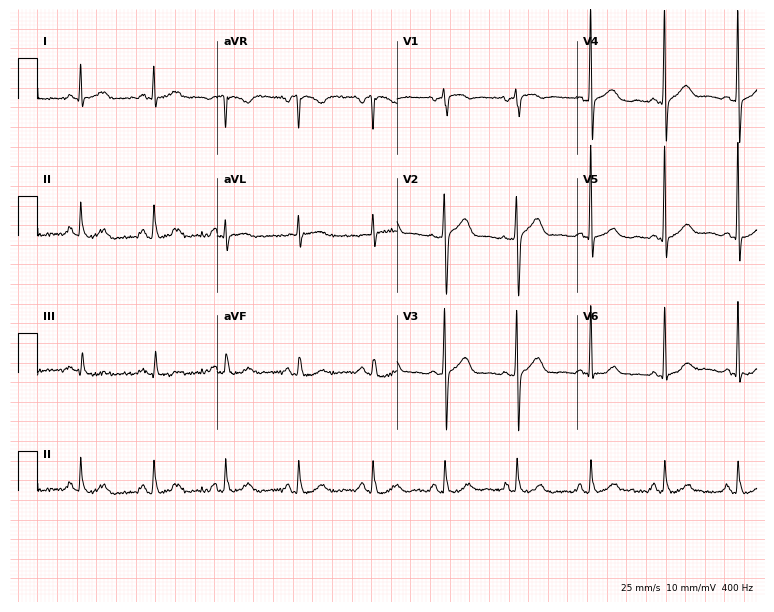
ECG — a male, 63 years old. Labelled as a normal ECG.